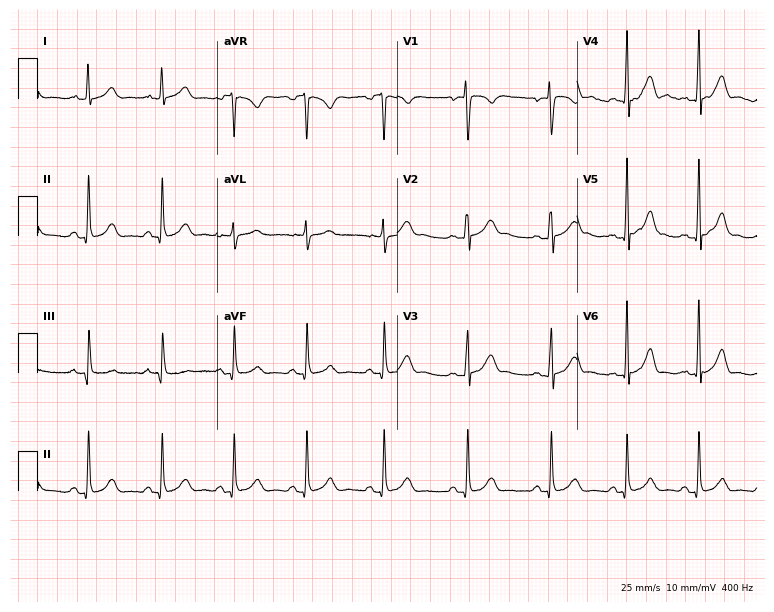
Standard 12-lead ECG recorded from a 27-year-old female. Read as a normal ECG.